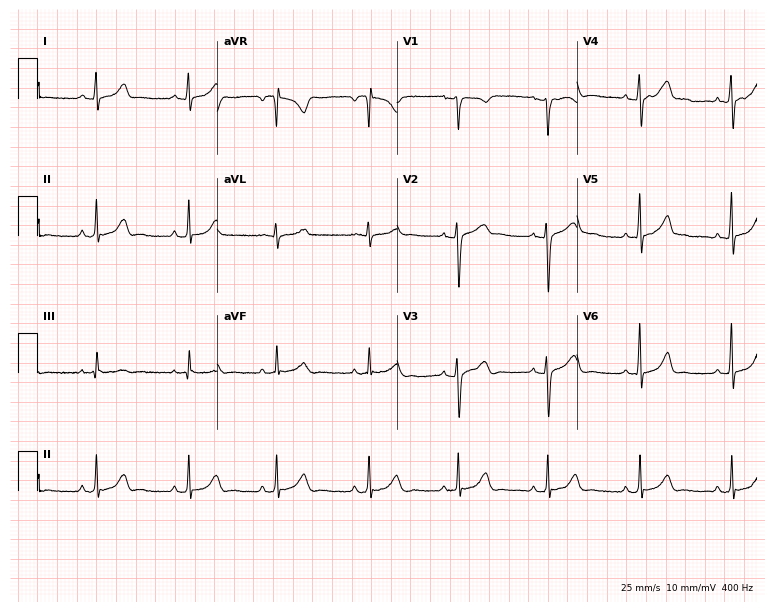
12-lead ECG from a 26-year-old female. Labelled as a normal ECG.